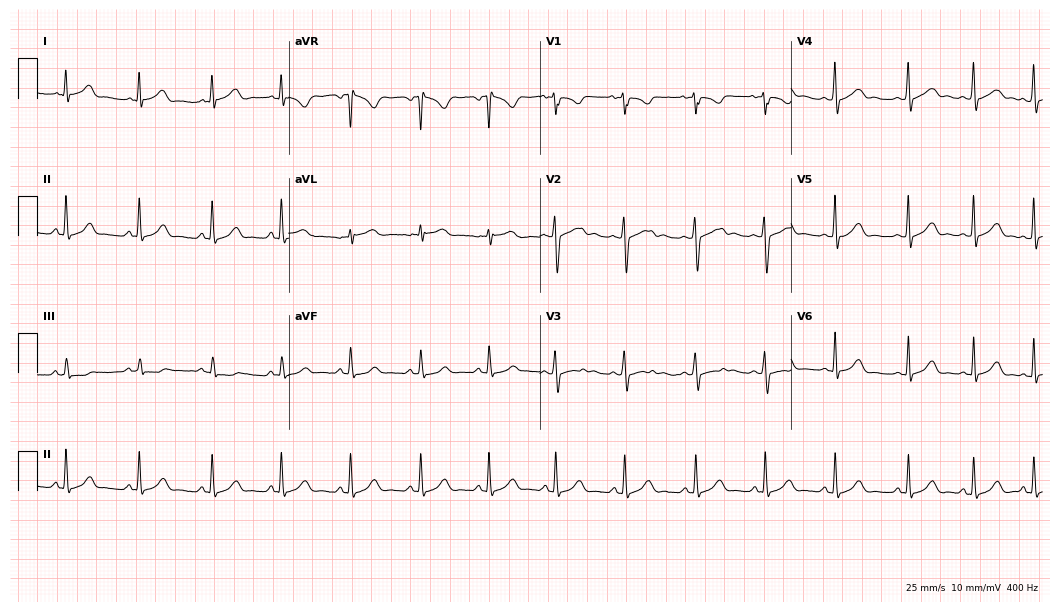
12-lead ECG from an 18-year-old female. No first-degree AV block, right bundle branch block, left bundle branch block, sinus bradycardia, atrial fibrillation or sinus tachycardia recorded for this tracing.